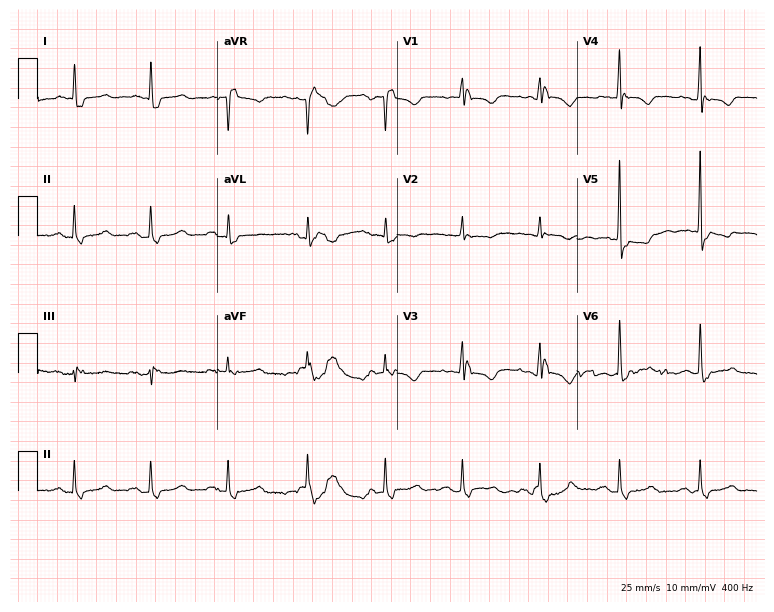
12-lead ECG (7.3-second recording at 400 Hz) from an 84-year-old female patient. Findings include right bundle branch block.